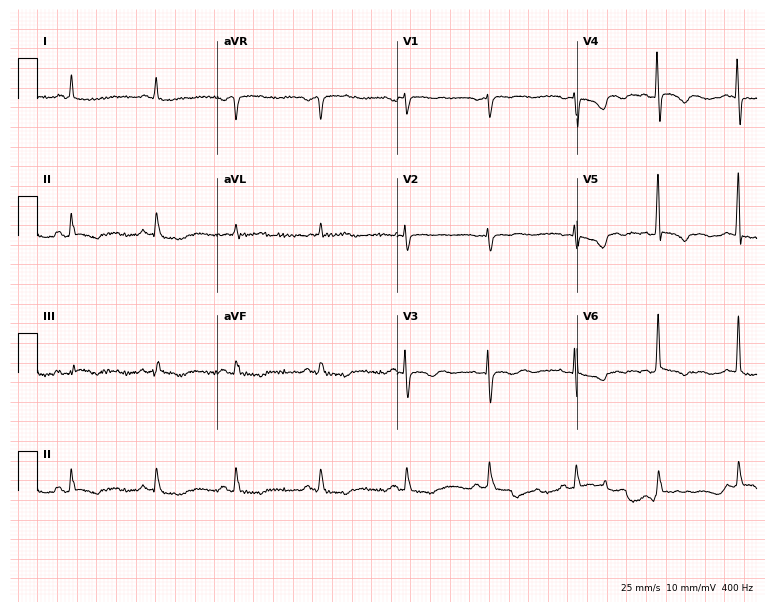
12-lead ECG from a female, 68 years old. No first-degree AV block, right bundle branch block, left bundle branch block, sinus bradycardia, atrial fibrillation or sinus tachycardia recorded for this tracing.